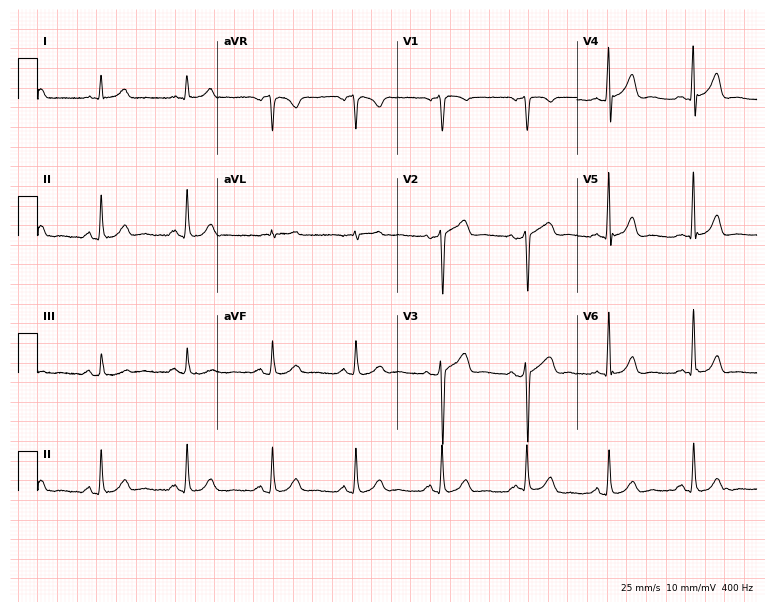
Resting 12-lead electrocardiogram (7.3-second recording at 400 Hz). Patient: a 71-year-old male. Read as a normal ECG.